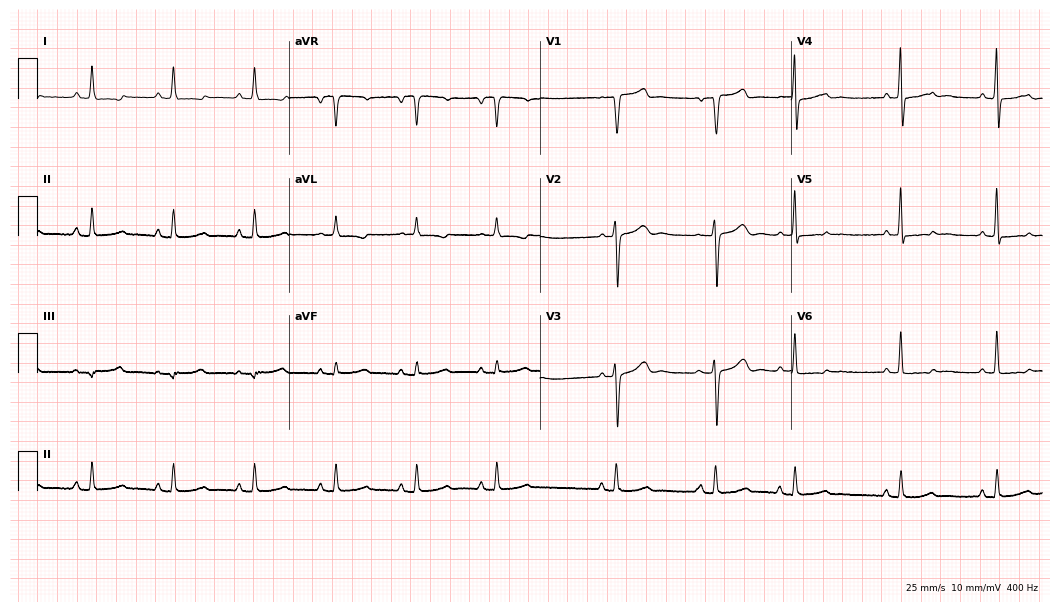
Resting 12-lead electrocardiogram (10.2-second recording at 400 Hz). Patient: a female, 57 years old. None of these six findings is recorded: first-degree AV block, right bundle branch block, left bundle branch block, sinus bradycardia, atrial fibrillation, sinus tachycardia. Other findings, if any, are not listed.